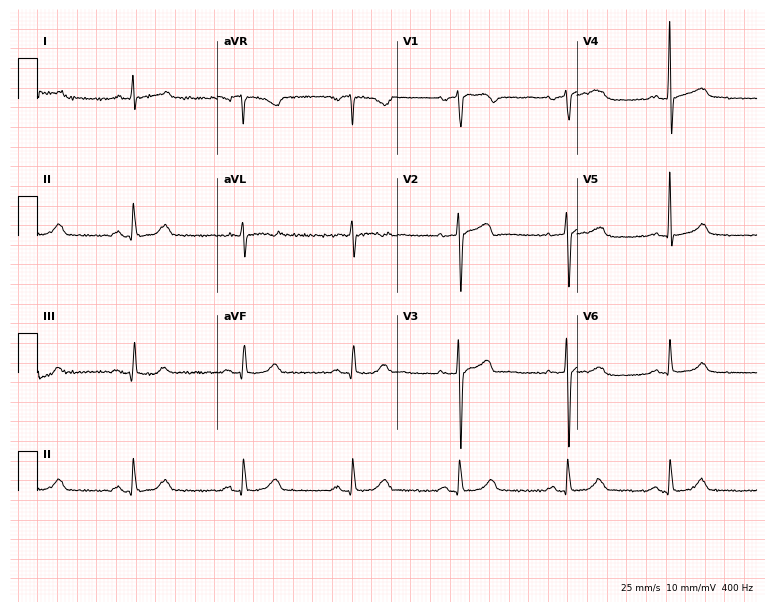
12-lead ECG from a male, 57 years old. Screened for six findings — first-degree AV block, right bundle branch block, left bundle branch block, sinus bradycardia, atrial fibrillation, sinus tachycardia — none is recorded. Only these six findings were labelled.